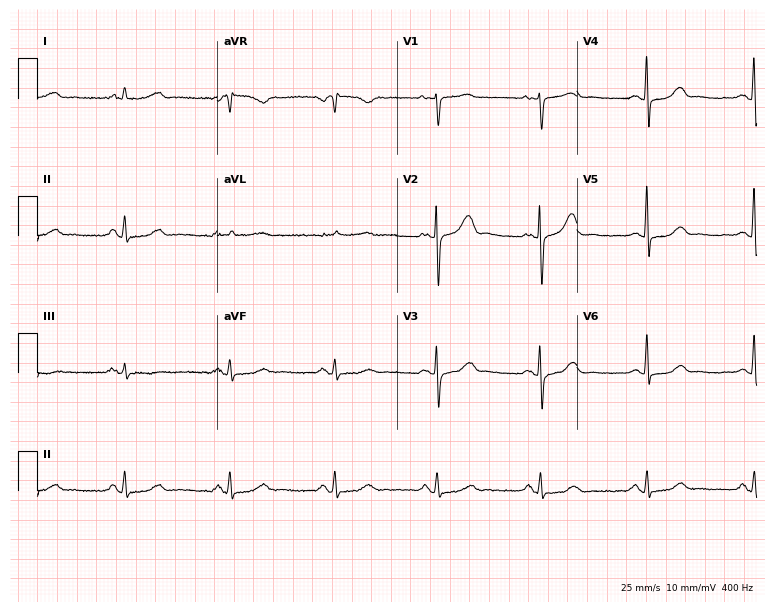
12-lead ECG from a 60-year-old female. Screened for six findings — first-degree AV block, right bundle branch block, left bundle branch block, sinus bradycardia, atrial fibrillation, sinus tachycardia — none is recorded.